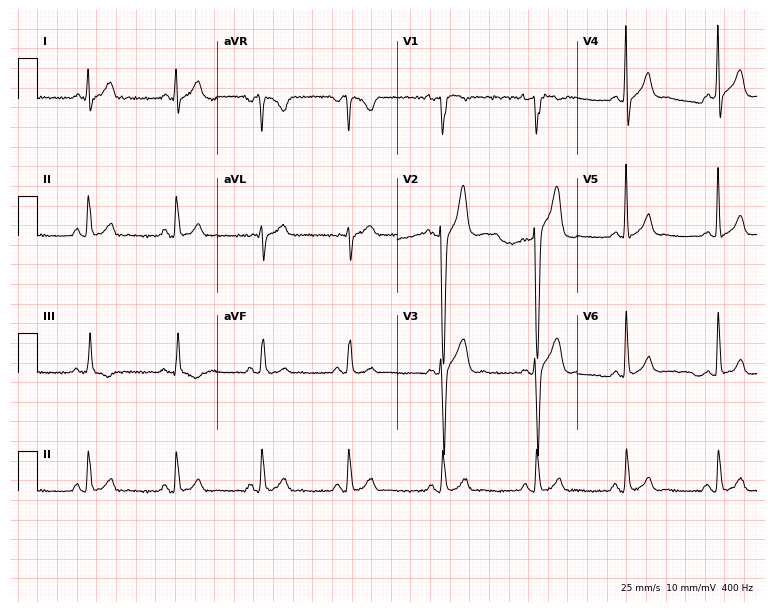
ECG (7.3-second recording at 400 Hz) — a man, 28 years old. Screened for six findings — first-degree AV block, right bundle branch block (RBBB), left bundle branch block (LBBB), sinus bradycardia, atrial fibrillation (AF), sinus tachycardia — none is recorded.